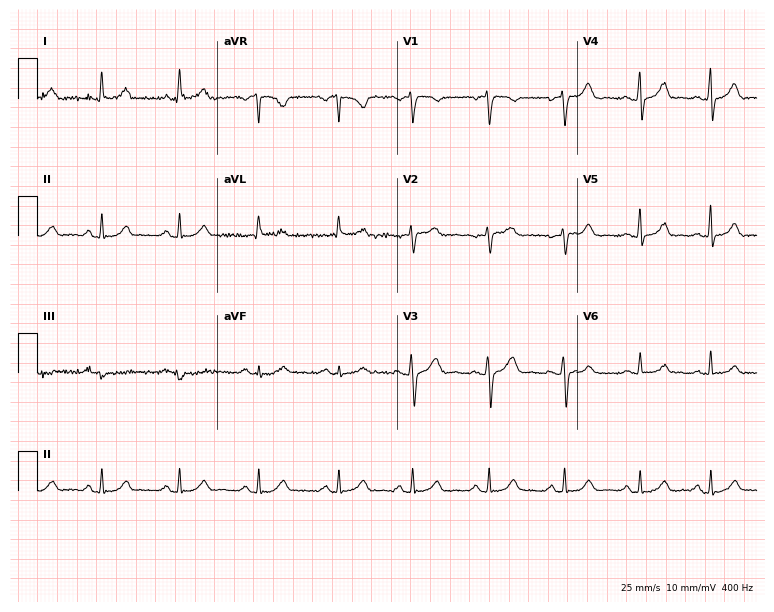
Electrocardiogram, a 46-year-old woman. Overall reading on record: normal ECG.